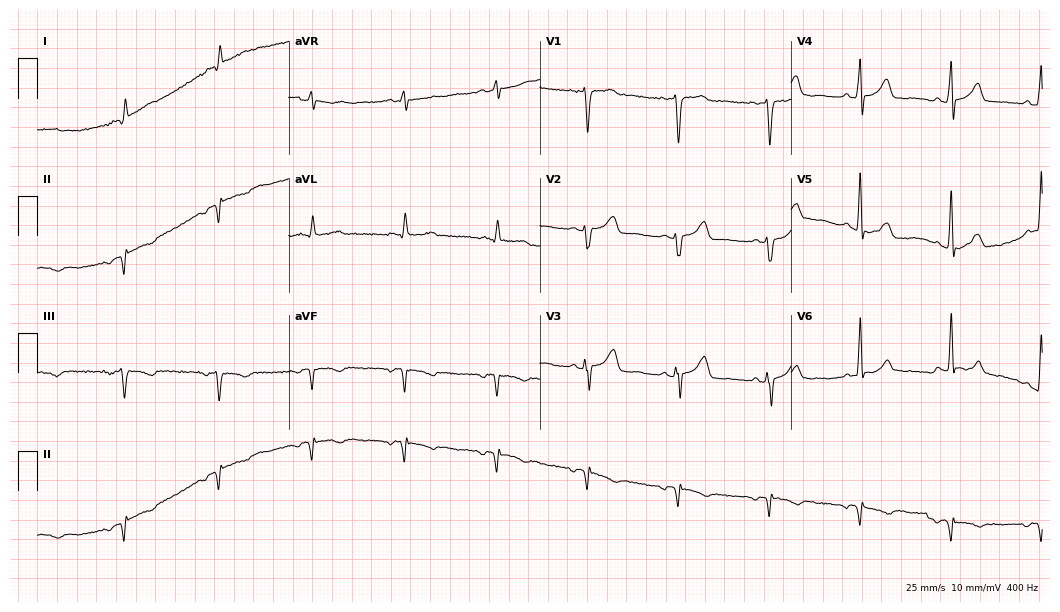
12-lead ECG (10.2-second recording at 400 Hz) from a male, 59 years old. Screened for six findings — first-degree AV block, right bundle branch block, left bundle branch block, sinus bradycardia, atrial fibrillation, sinus tachycardia — none is recorded. Other findings, if any, are not listed.